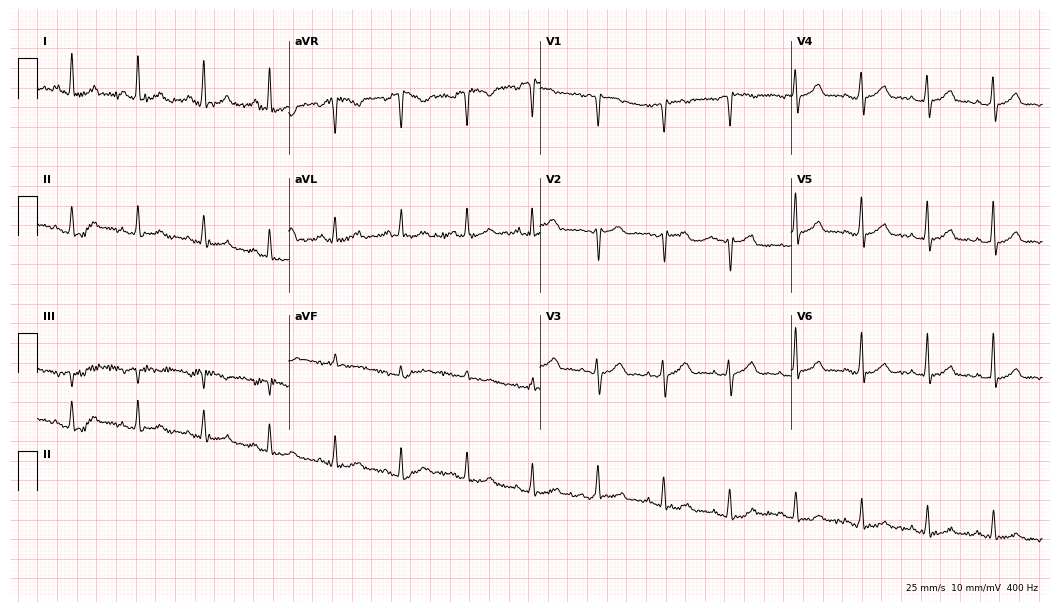
ECG (10.2-second recording at 400 Hz) — a 56-year-old female patient. Screened for six findings — first-degree AV block, right bundle branch block, left bundle branch block, sinus bradycardia, atrial fibrillation, sinus tachycardia — none is recorded.